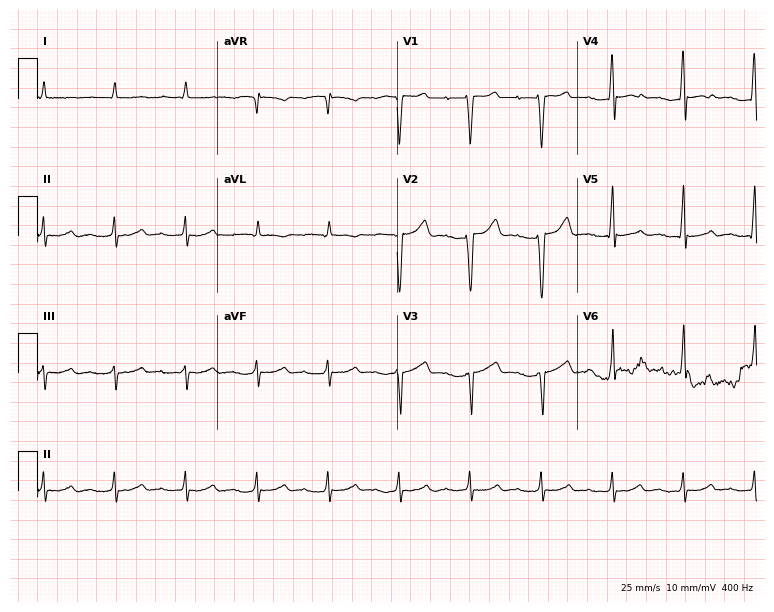
12-lead ECG from a 45-year-old man. No first-degree AV block, right bundle branch block, left bundle branch block, sinus bradycardia, atrial fibrillation or sinus tachycardia recorded for this tracing.